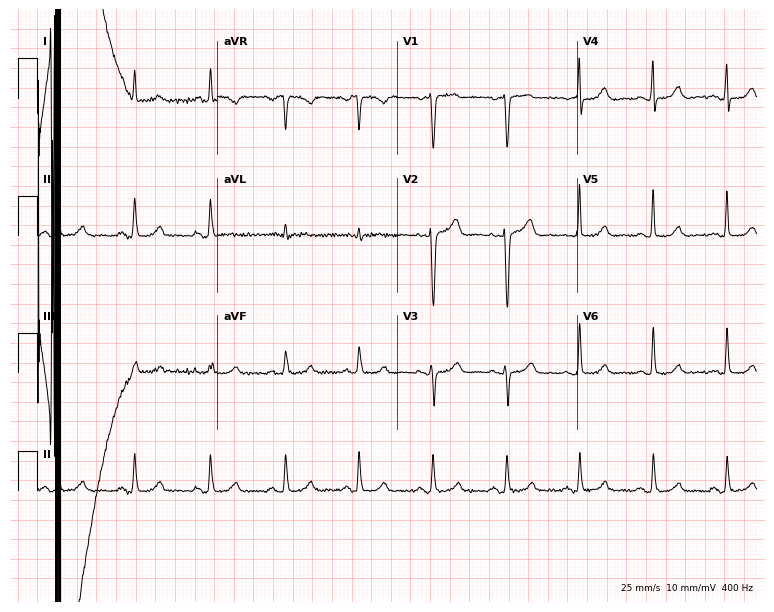
Standard 12-lead ECG recorded from a 72-year-old woman. None of these six findings is recorded: first-degree AV block, right bundle branch block (RBBB), left bundle branch block (LBBB), sinus bradycardia, atrial fibrillation (AF), sinus tachycardia.